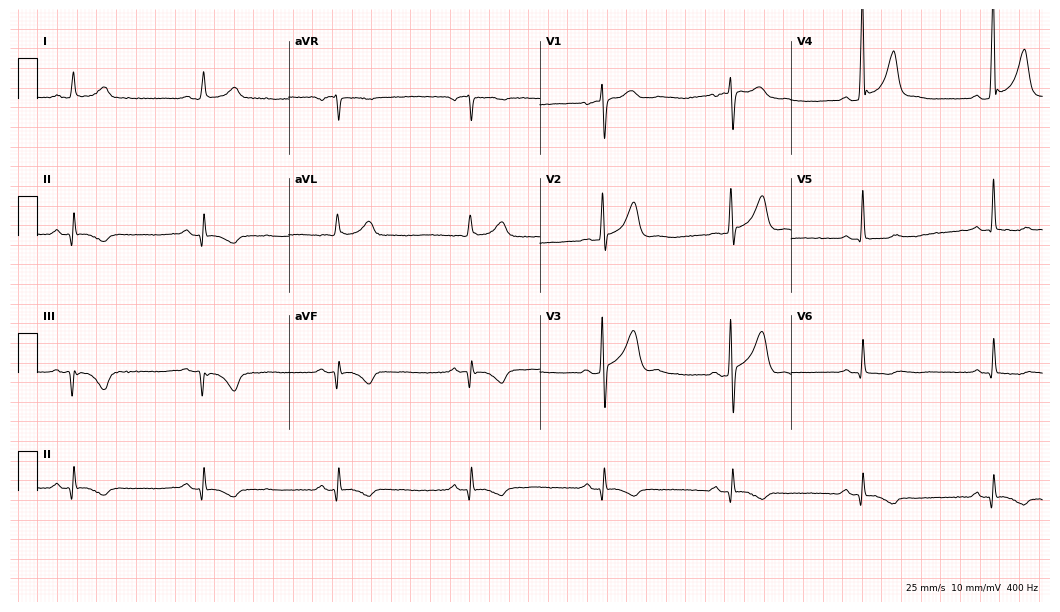
Electrocardiogram, a 60-year-old man. Interpretation includes sinus bradycardia (a sinus rate of 50 beats per minute or less).